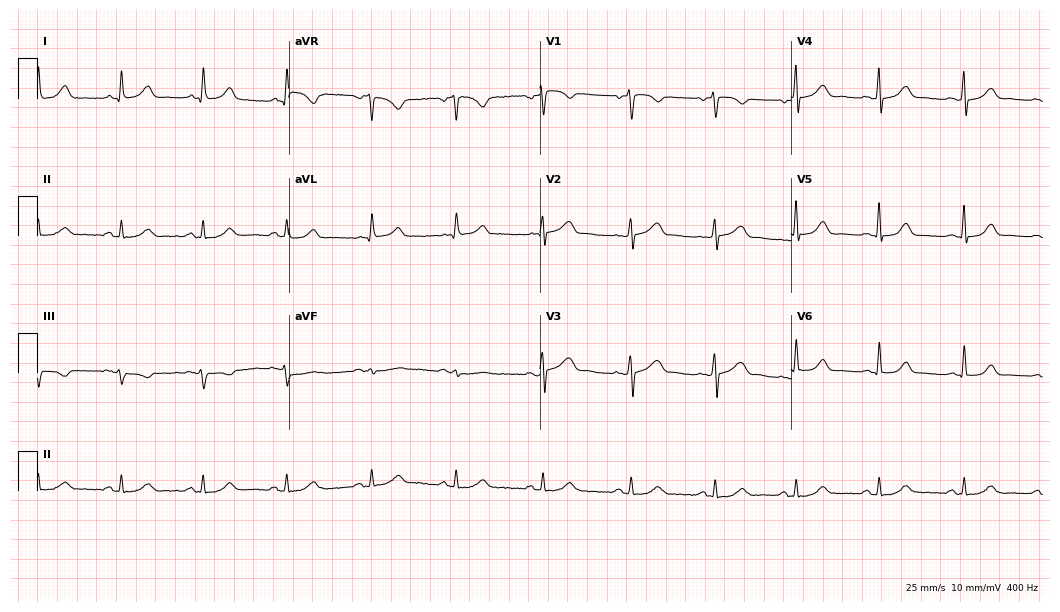
12-lead ECG from a female patient, 46 years old (10.2-second recording at 400 Hz). Recorded interpretation: within normal limits.